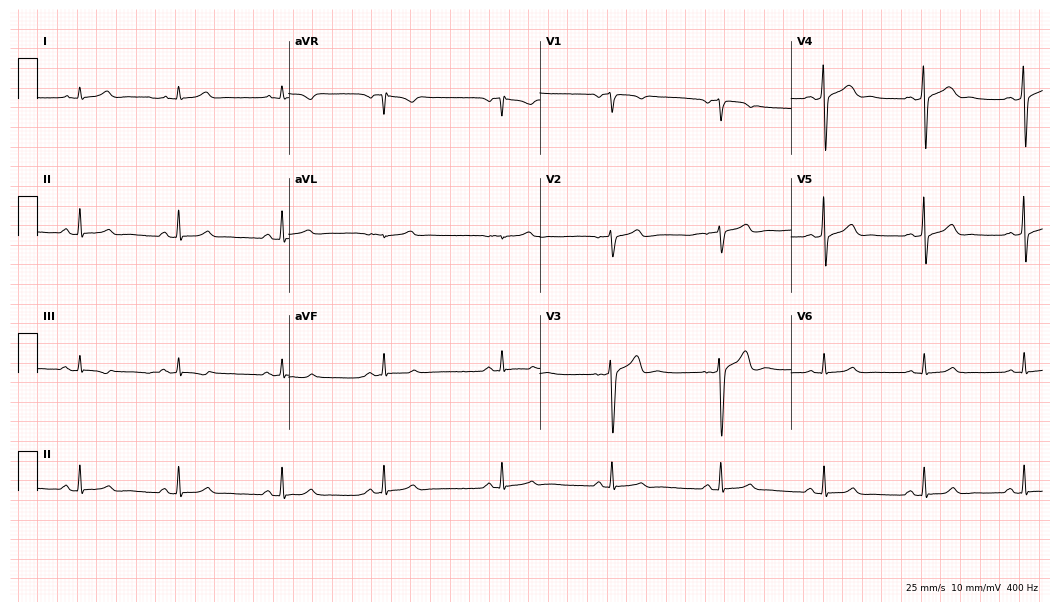
Resting 12-lead electrocardiogram (10.2-second recording at 400 Hz). Patient: a 35-year-old man. Read as a normal ECG.